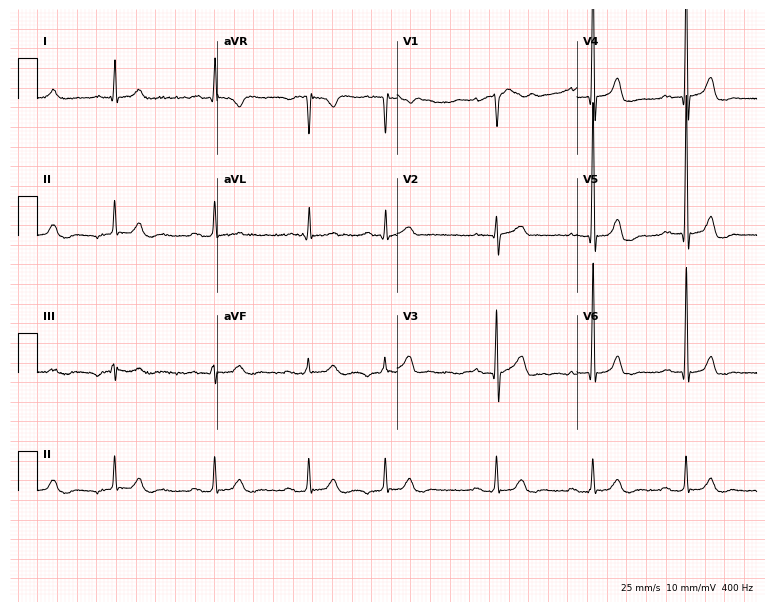
12-lead ECG from a 72-year-old woman (7.3-second recording at 400 Hz). No first-degree AV block, right bundle branch block, left bundle branch block, sinus bradycardia, atrial fibrillation or sinus tachycardia recorded for this tracing. Findings outside these six are not listed.